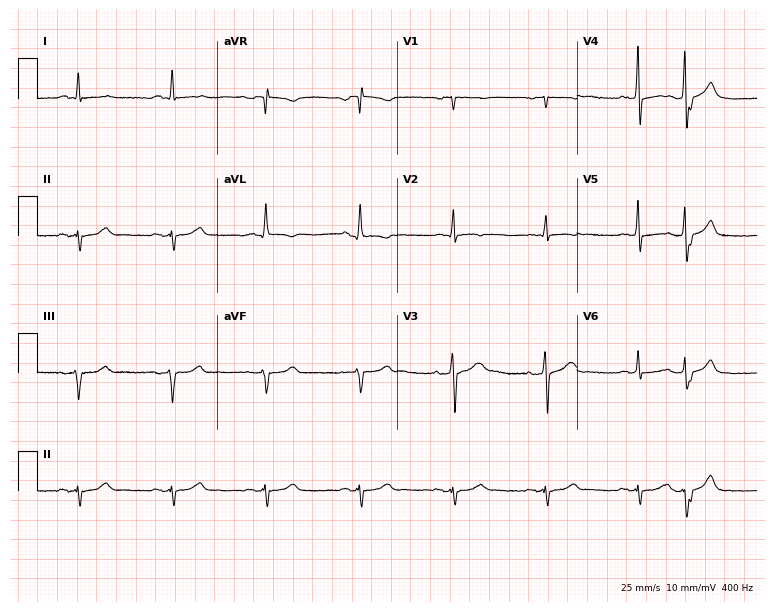
ECG (7.3-second recording at 400 Hz) — a man, 65 years old. Screened for six findings — first-degree AV block, right bundle branch block (RBBB), left bundle branch block (LBBB), sinus bradycardia, atrial fibrillation (AF), sinus tachycardia — none is recorded. Other findings, if any, are not listed.